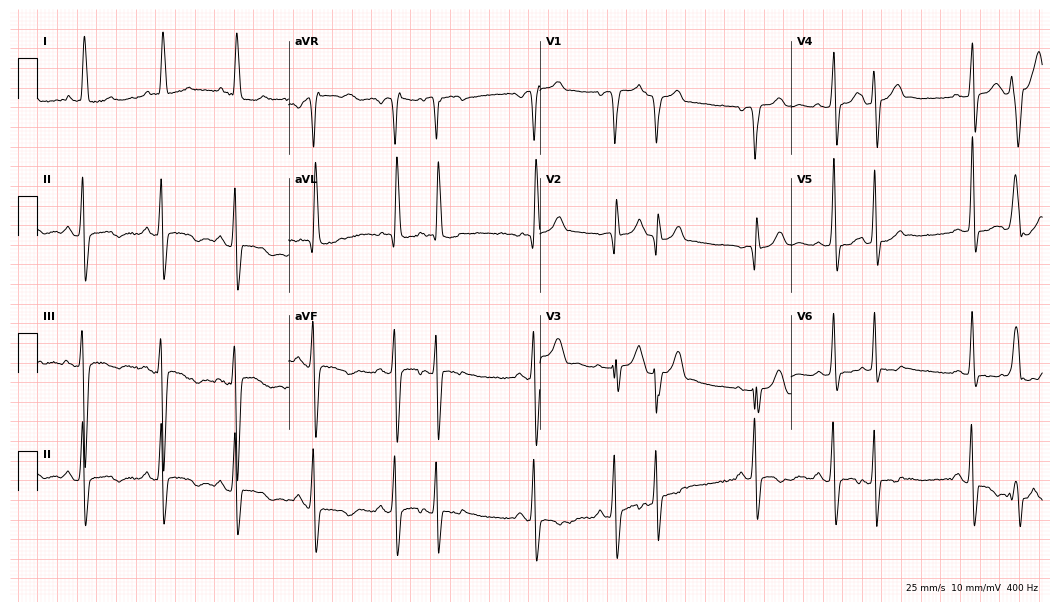
12-lead ECG from a female patient, 74 years old. No first-degree AV block, right bundle branch block, left bundle branch block, sinus bradycardia, atrial fibrillation or sinus tachycardia recorded for this tracing.